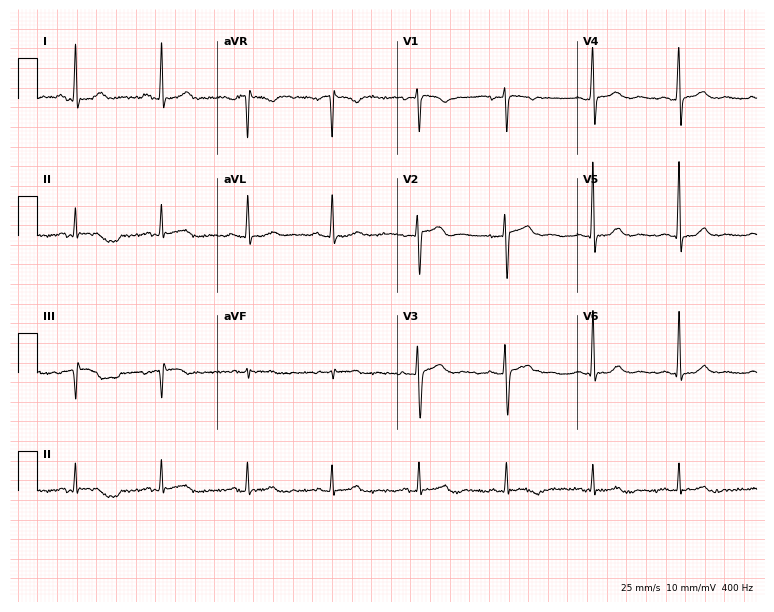
12-lead ECG from a female, 58 years old. Recorded interpretation: within normal limits.